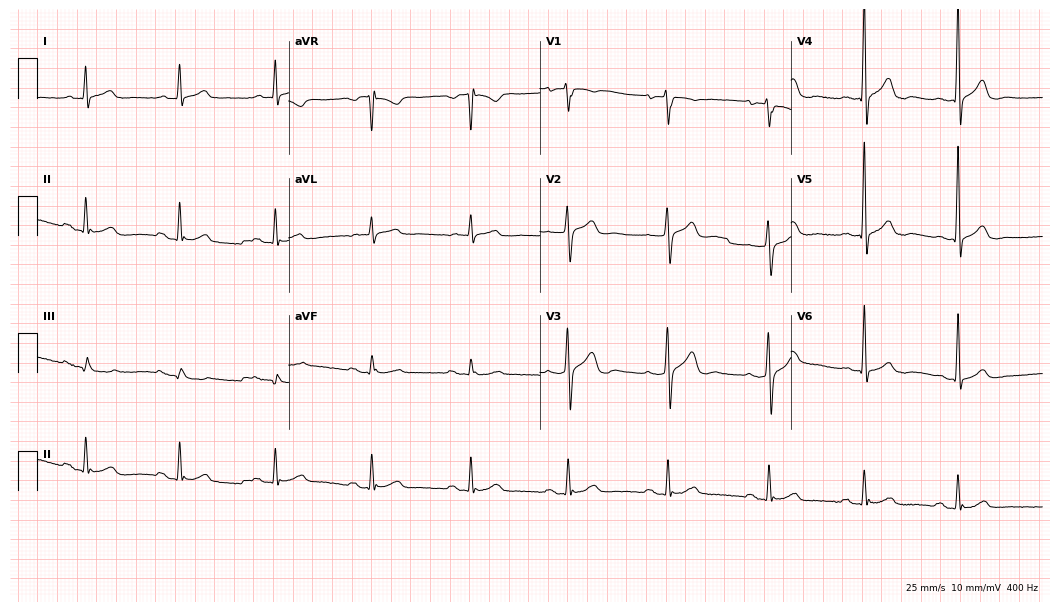
Electrocardiogram (10.2-second recording at 400 Hz), a male patient, 66 years old. Of the six screened findings (first-degree AV block, right bundle branch block (RBBB), left bundle branch block (LBBB), sinus bradycardia, atrial fibrillation (AF), sinus tachycardia), none is recorded.